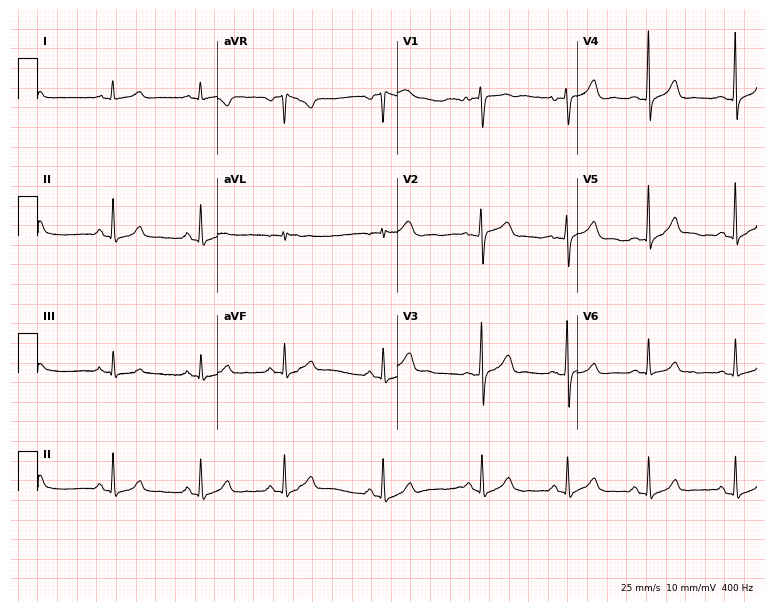
Electrocardiogram (7.3-second recording at 400 Hz), a 29-year-old female patient. Overall reading on record: normal ECG.